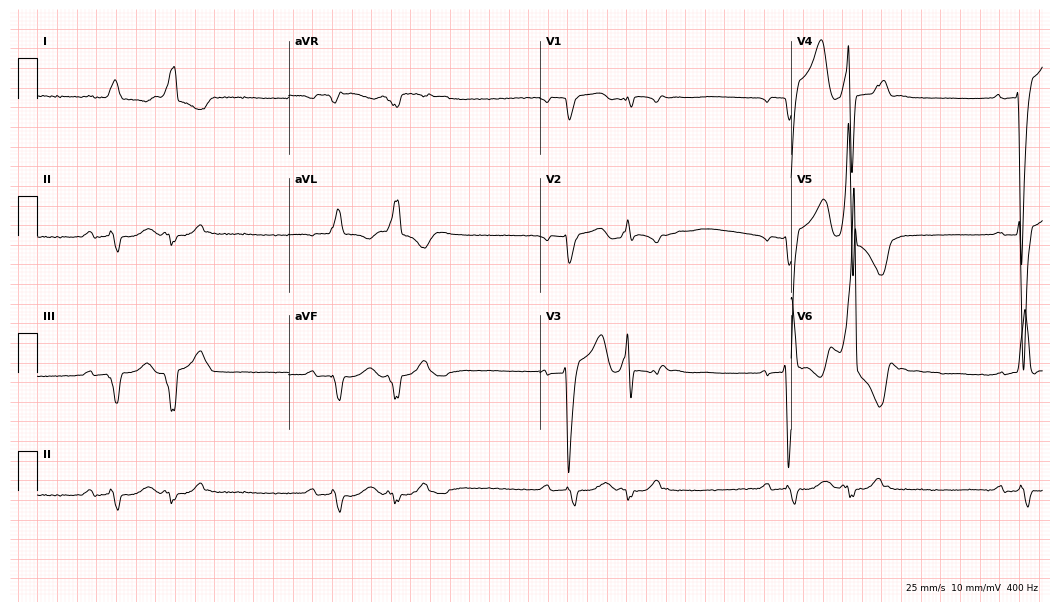
12-lead ECG from a man, 84 years old. Findings include first-degree AV block, left bundle branch block.